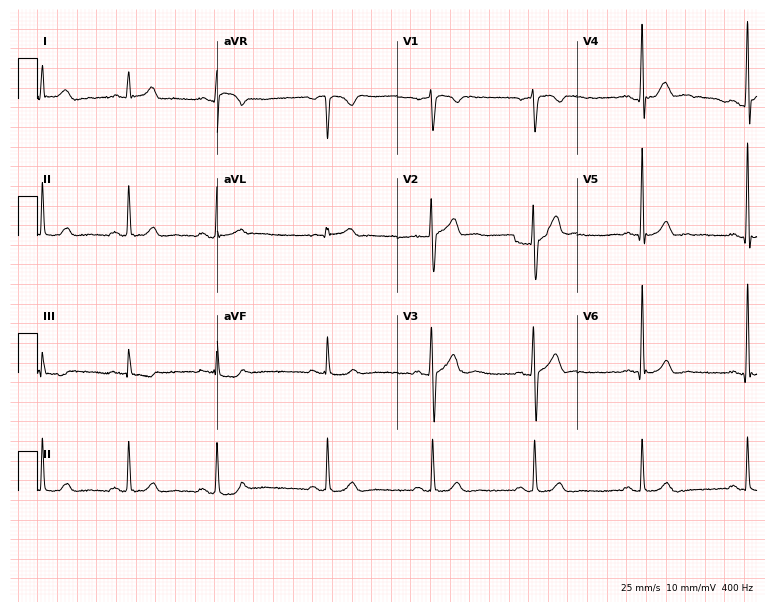
12-lead ECG from a man, 24 years old. Recorded interpretation: within normal limits.